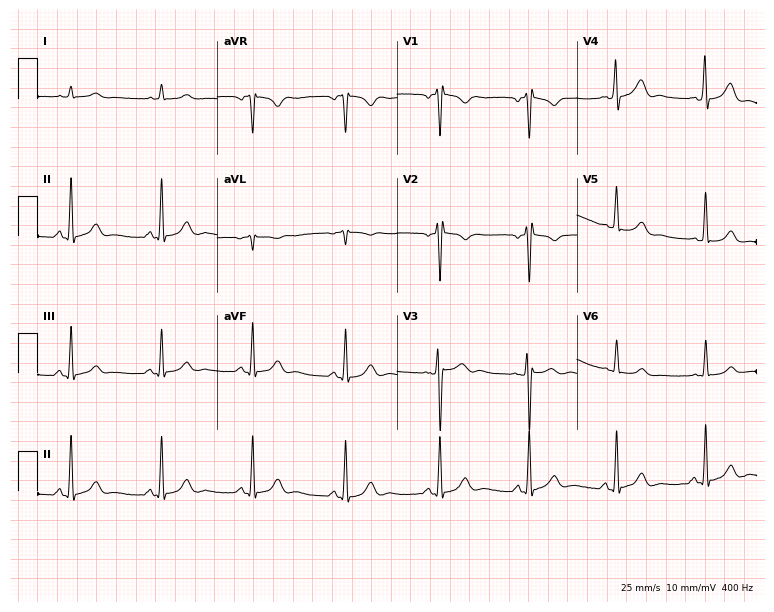
Standard 12-lead ECG recorded from a male, 39 years old. None of these six findings is recorded: first-degree AV block, right bundle branch block, left bundle branch block, sinus bradycardia, atrial fibrillation, sinus tachycardia. Findings outside these six are not listed.